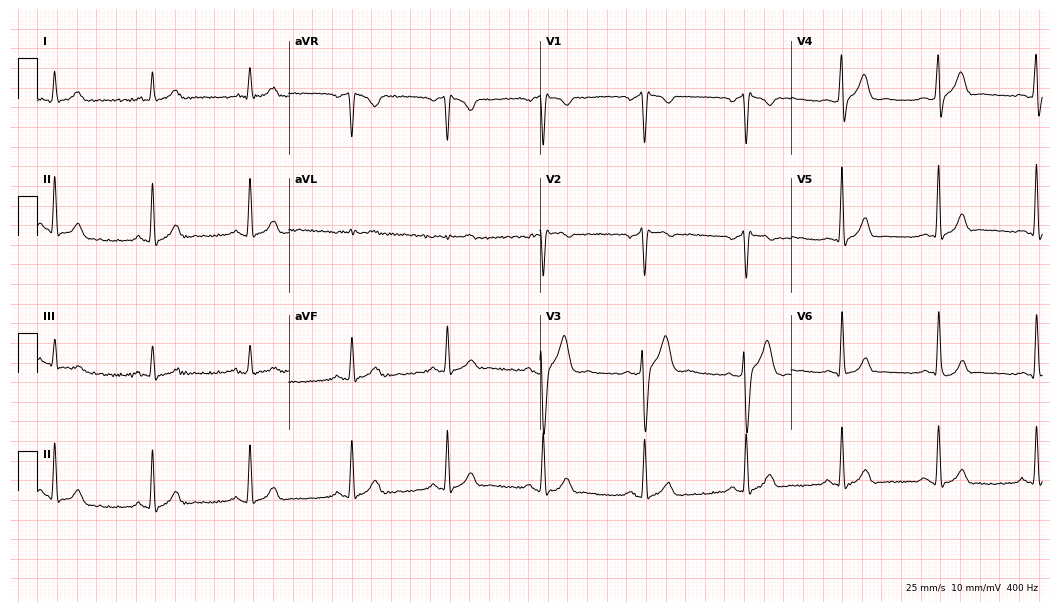
12-lead ECG from a 35-year-old man. No first-degree AV block, right bundle branch block, left bundle branch block, sinus bradycardia, atrial fibrillation or sinus tachycardia recorded for this tracing. Other findings, if any, are not listed.